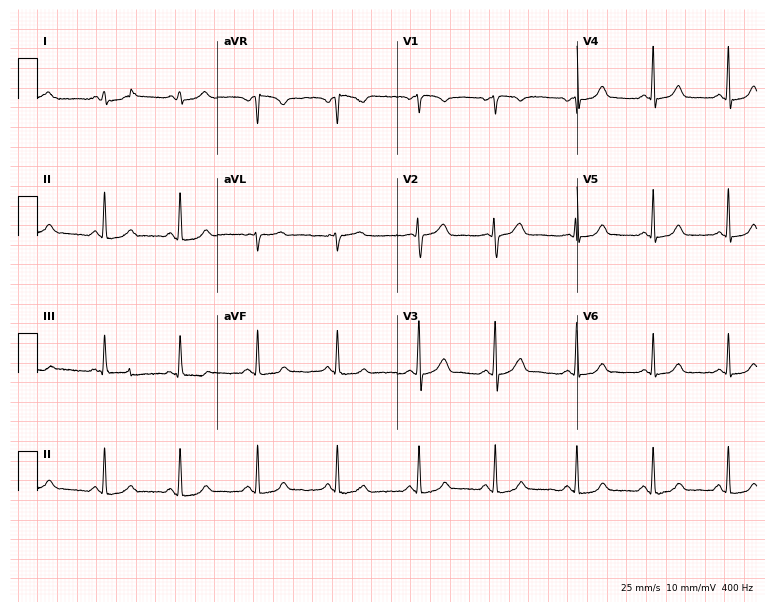
ECG (7.3-second recording at 400 Hz) — a 21-year-old female patient. Labelled as a normal ECG.